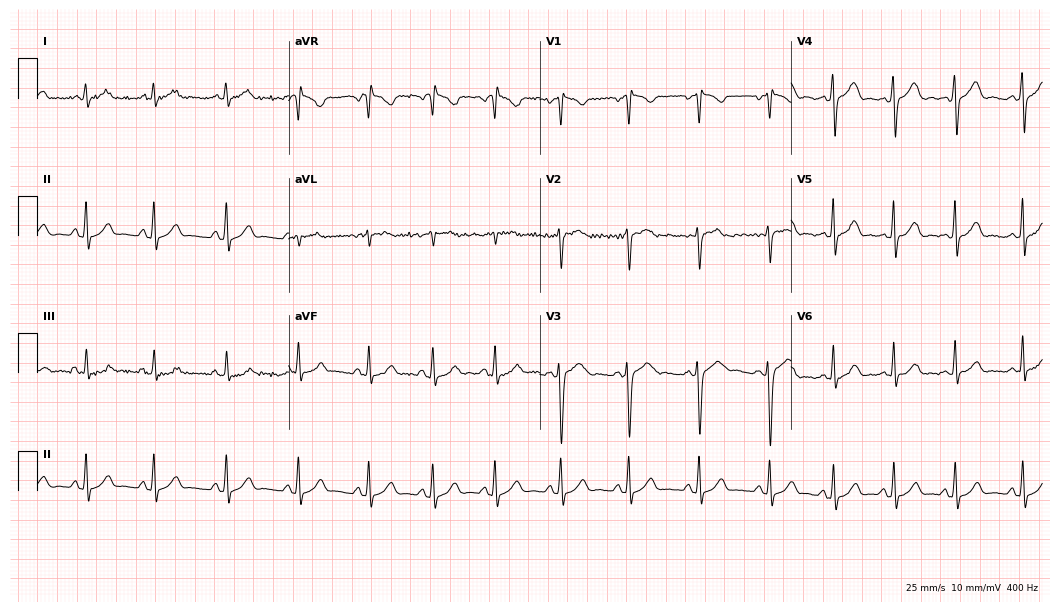
12-lead ECG from a 22-year-old woman. Labelled as a normal ECG.